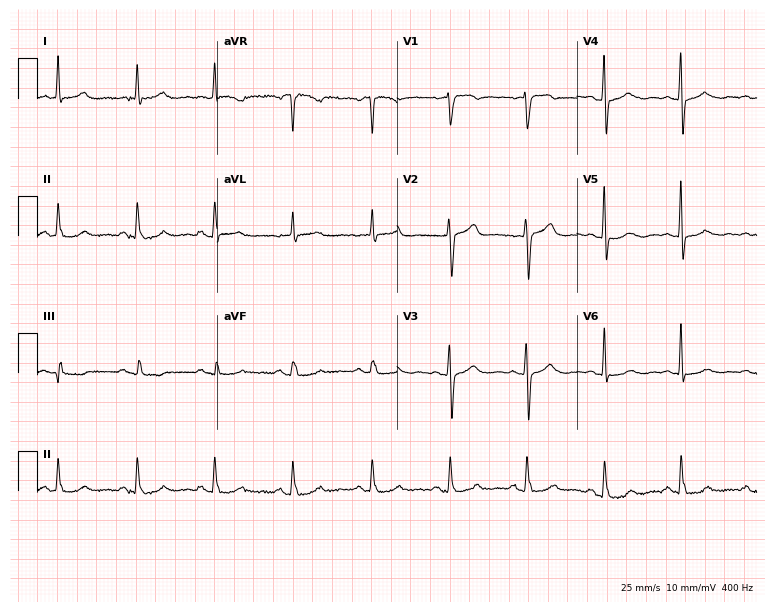
12-lead ECG (7.3-second recording at 400 Hz) from a 63-year-old female. Labelled as a normal ECG.